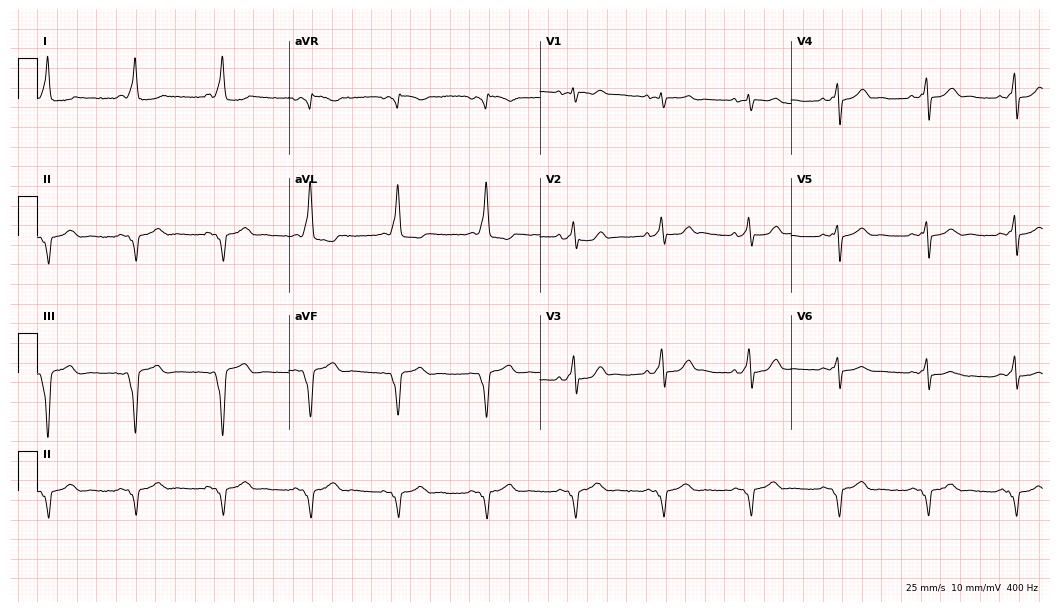
Standard 12-lead ECG recorded from a male patient, 69 years old (10.2-second recording at 400 Hz). None of these six findings is recorded: first-degree AV block, right bundle branch block, left bundle branch block, sinus bradycardia, atrial fibrillation, sinus tachycardia.